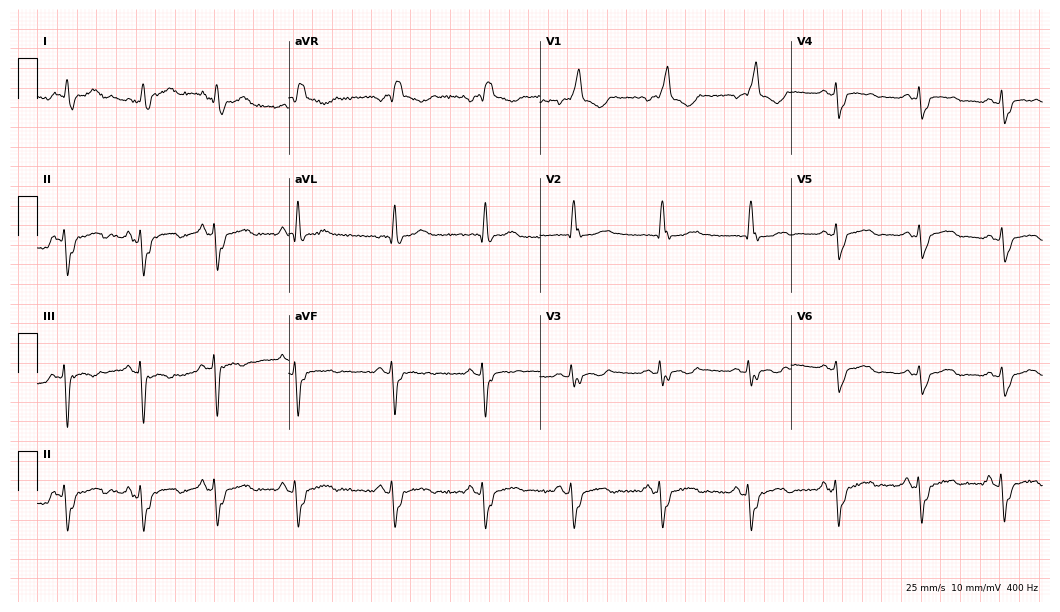
12-lead ECG (10.2-second recording at 400 Hz) from a woman, 55 years old. Findings include right bundle branch block.